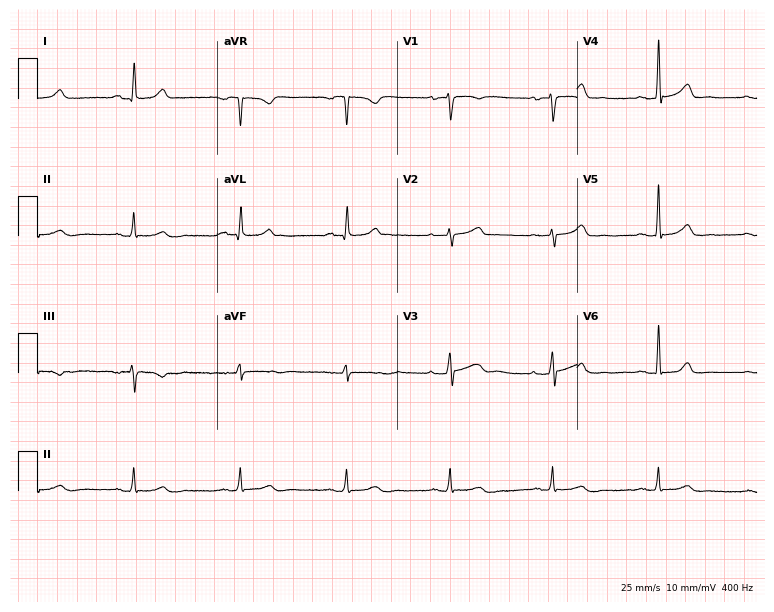
12-lead ECG (7.3-second recording at 400 Hz) from a 62-year-old woman. Labelled as a normal ECG.